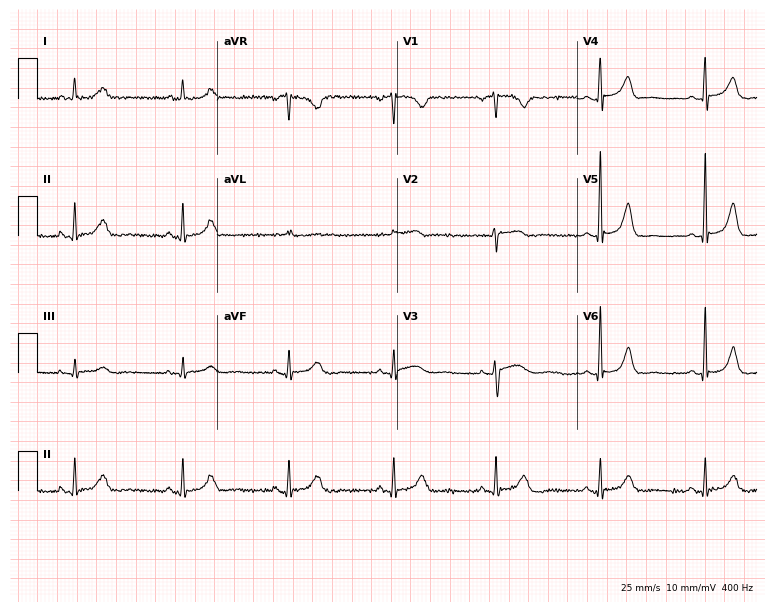
12-lead ECG (7.3-second recording at 400 Hz) from a female patient, 63 years old. Labelled as a normal ECG.